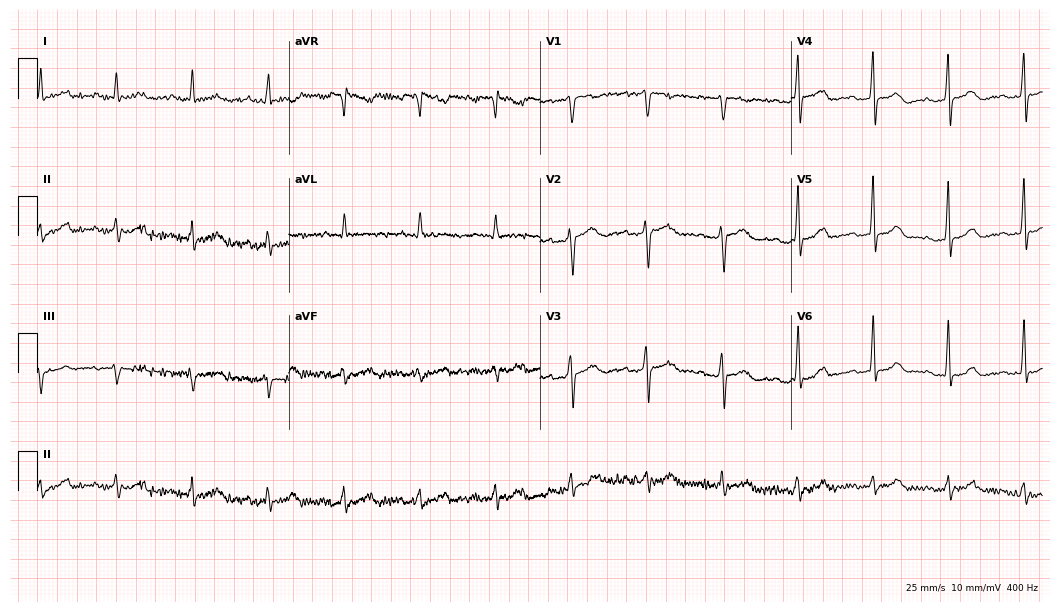
Resting 12-lead electrocardiogram (10.2-second recording at 400 Hz). Patient: a male, 64 years old. The tracing shows first-degree AV block.